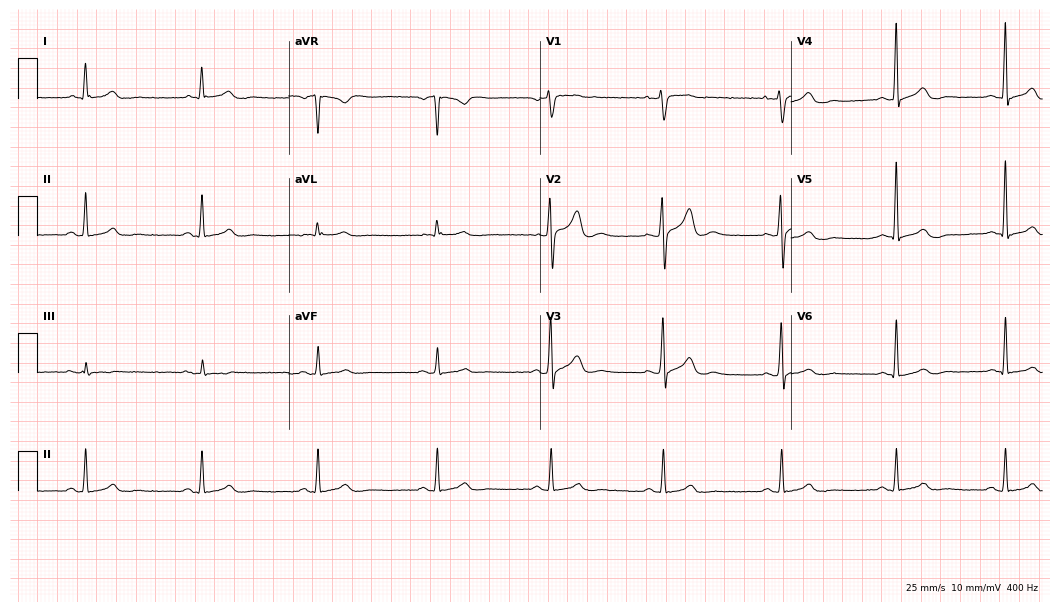
Electrocardiogram (10.2-second recording at 400 Hz), a 59-year-old male patient. Overall reading on record: normal ECG.